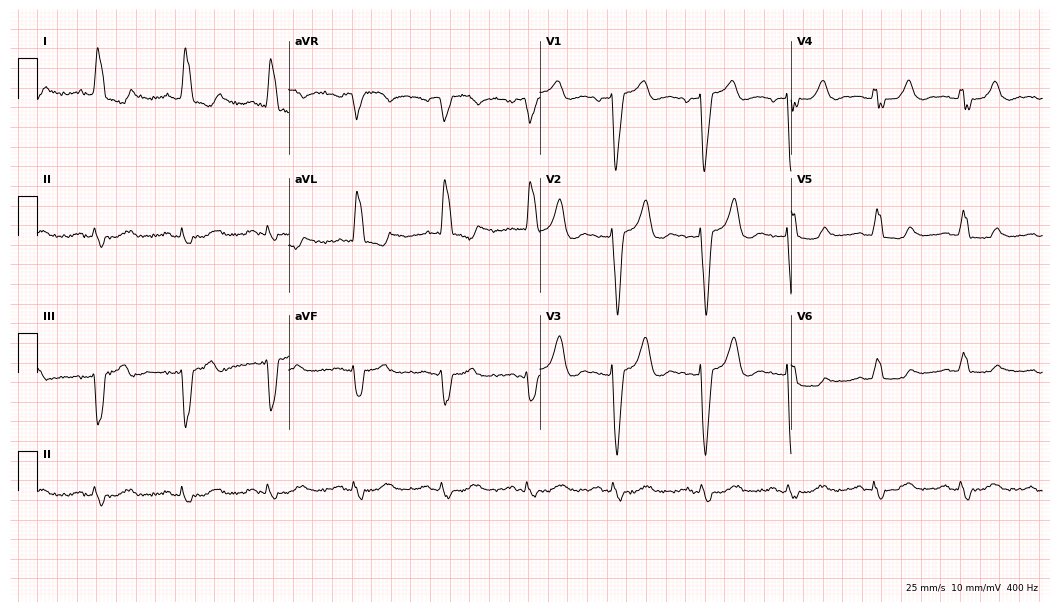
ECG — an 85-year-old female. Findings include left bundle branch block (LBBB).